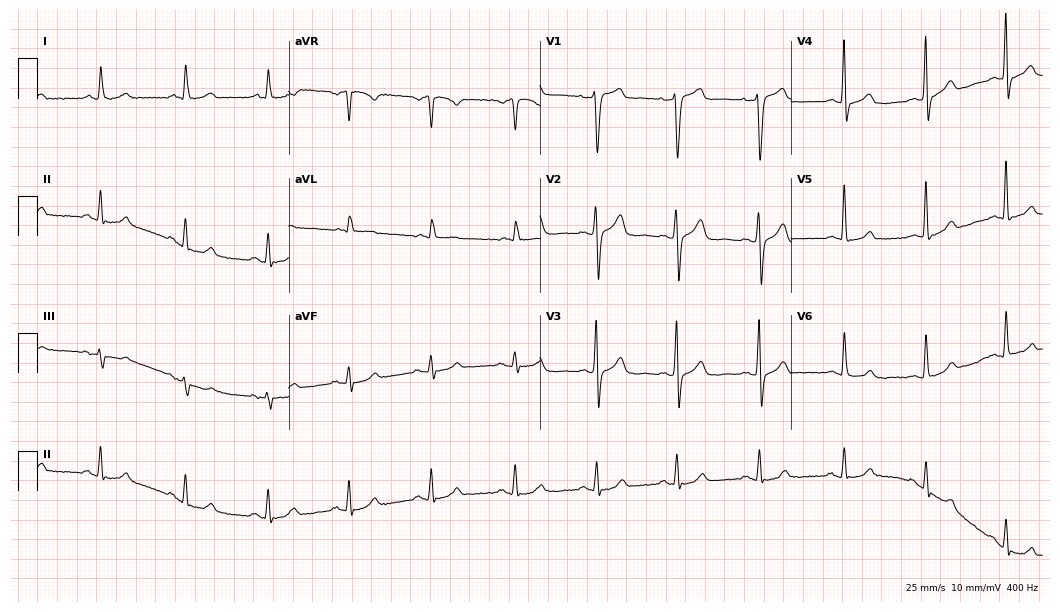
Standard 12-lead ECG recorded from a male patient, 50 years old (10.2-second recording at 400 Hz). Read as a normal ECG.